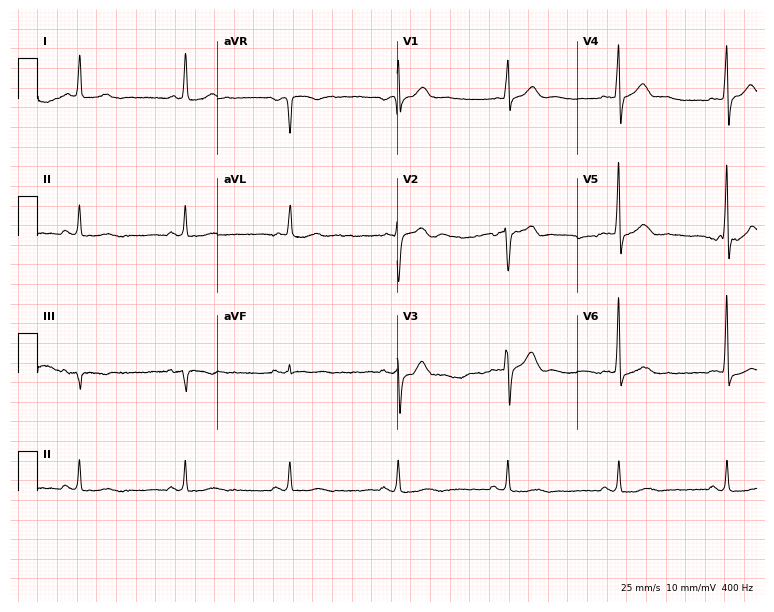
Electrocardiogram (7.3-second recording at 400 Hz), a male, 59 years old. Of the six screened findings (first-degree AV block, right bundle branch block, left bundle branch block, sinus bradycardia, atrial fibrillation, sinus tachycardia), none is recorded. Other findings, if any, are not listed.